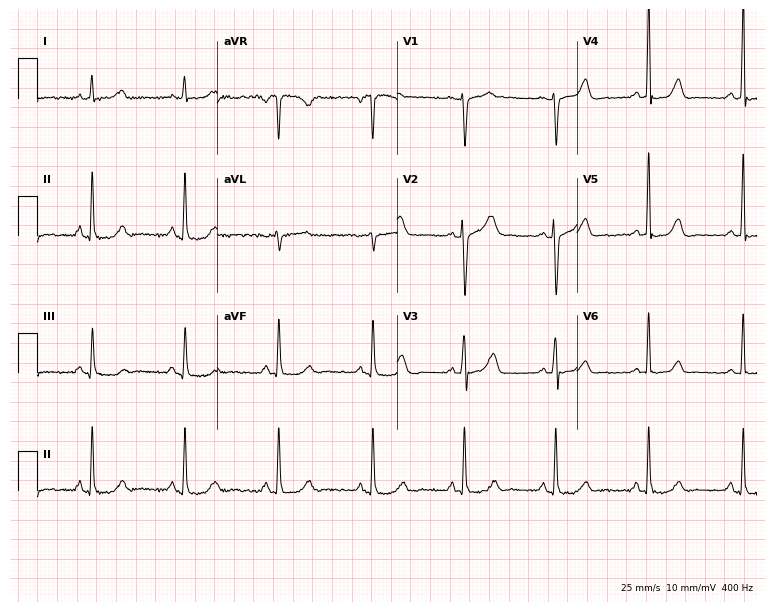
Electrocardiogram (7.3-second recording at 400 Hz), a 59-year-old female patient. Of the six screened findings (first-degree AV block, right bundle branch block (RBBB), left bundle branch block (LBBB), sinus bradycardia, atrial fibrillation (AF), sinus tachycardia), none is recorded. Only these six findings were labelled.